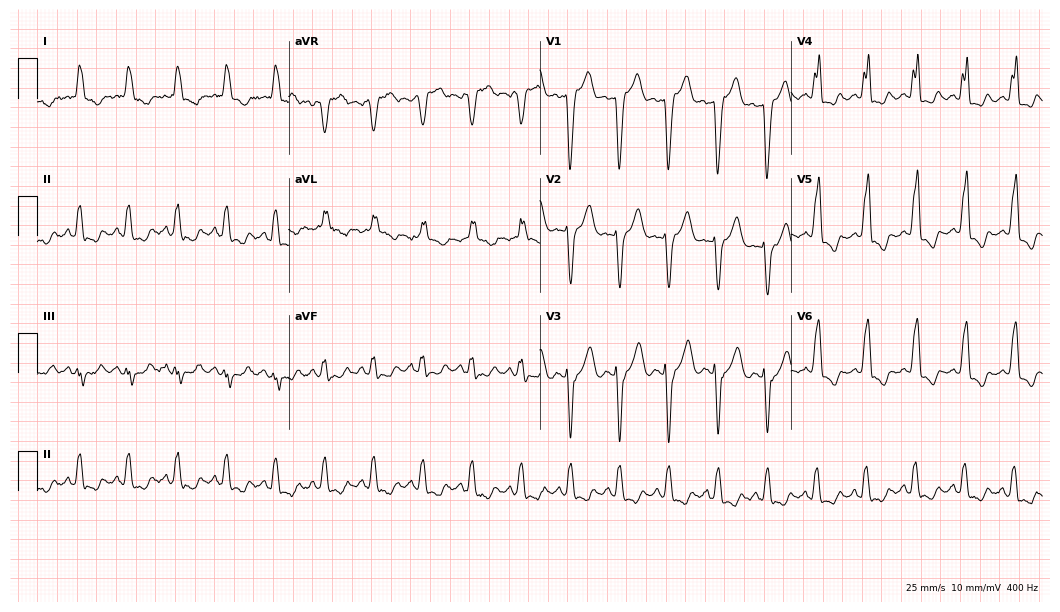
Resting 12-lead electrocardiogram (10.2-second recording at 400 Hz). Patient: a 70-year-old female. The tracing shows sinus tachycardia (a sinus rate of 100 beats per minute or more).